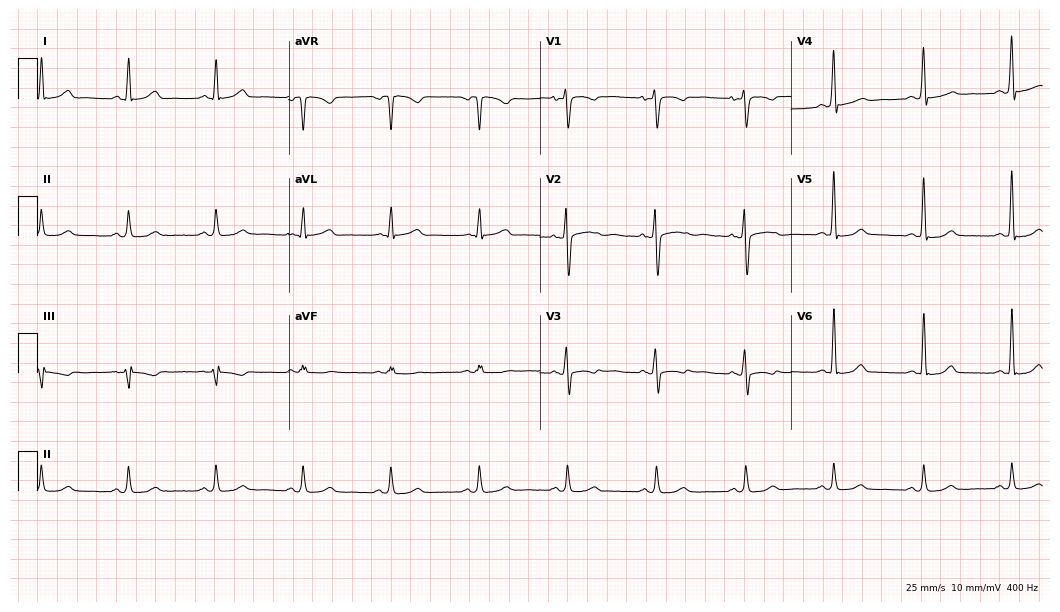
Standard 12-lead ECG recorded from a female patient, 45 years old. Read as a normal ECG.